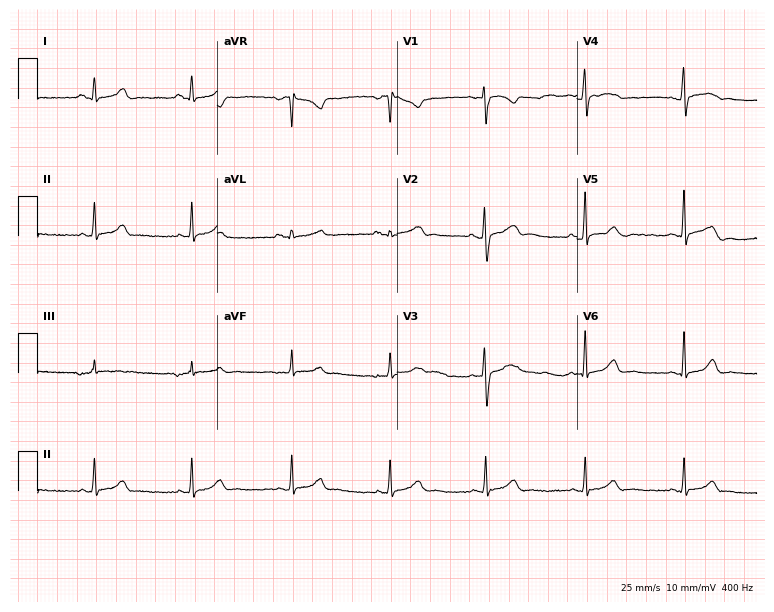
12-lead ECG from a 23-year-old female (7.3-second recording at 400 Hz). Recorded interpretation: within normal limits.